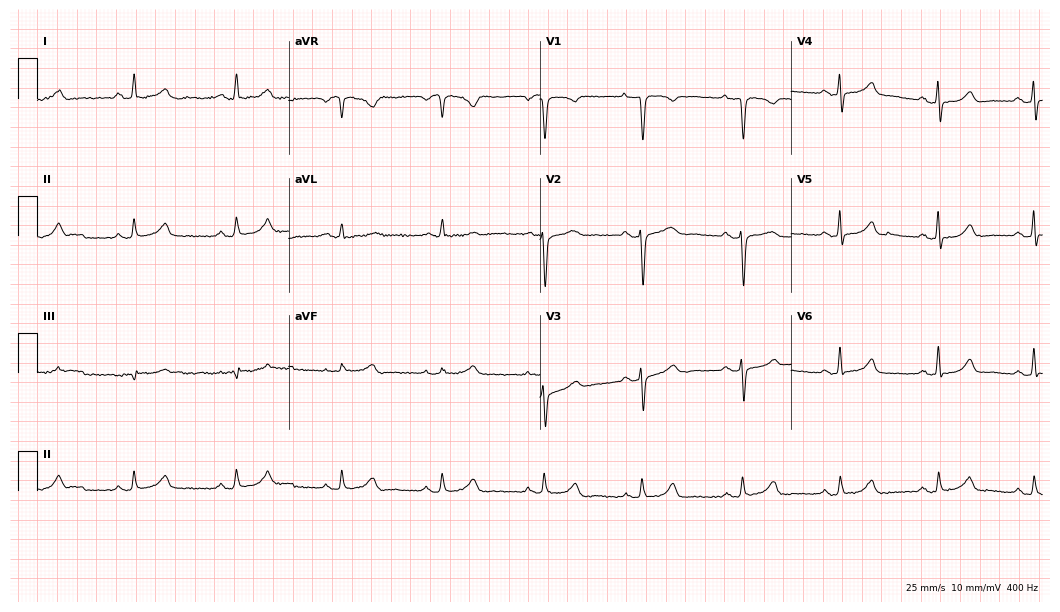
Electrocardiogram, a female, 45 years old. Overall reading on record: normal ECG.